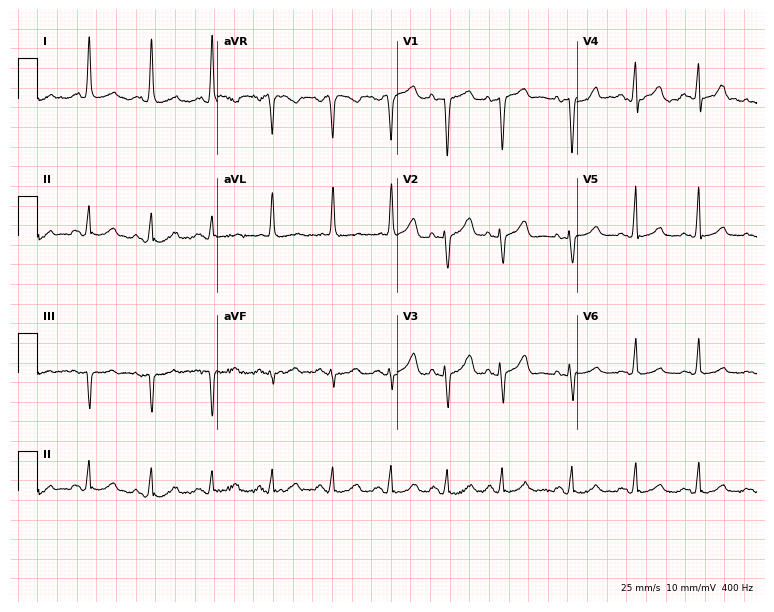
Standard 12-lead ECG recorded from a 59-year-old female. Read as a normal ECG.